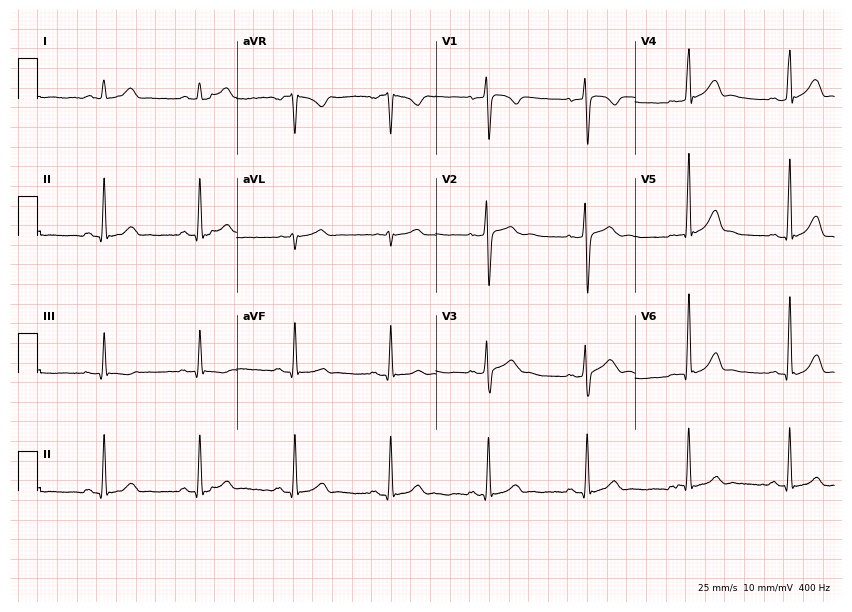
ECG — a man, 38 years old. Screened for six findings — first-degree AV block, right bundle branch block, left bundle branch block, sinus bradycardia, atrial fibrillation, sinus tachycardia — none is recorded.